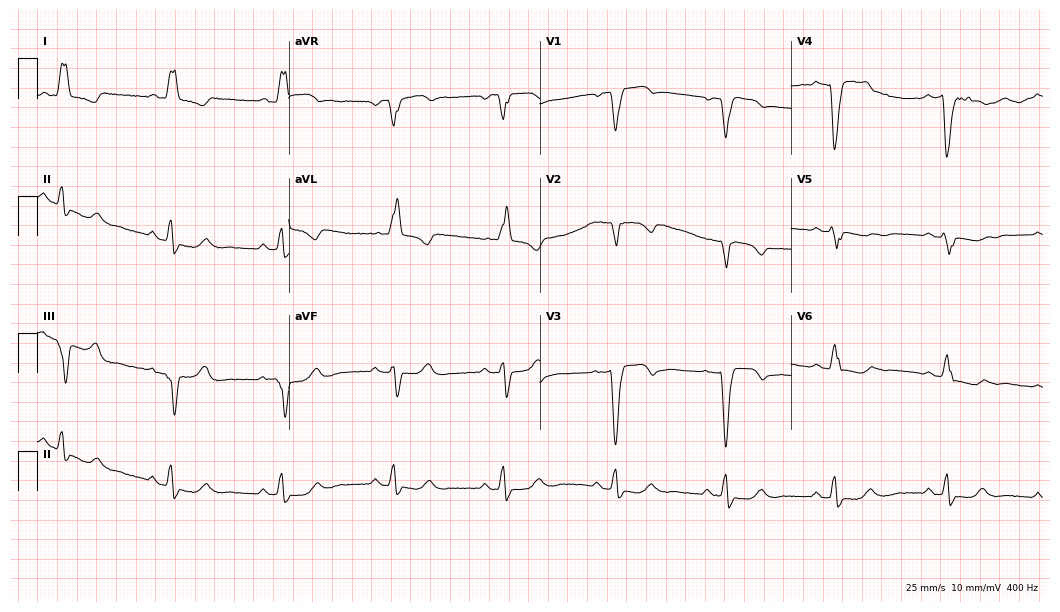
Resting 12-lead electrocardiogram. Patient: a 66-year-old female. The tracing shows left bundle branch block.